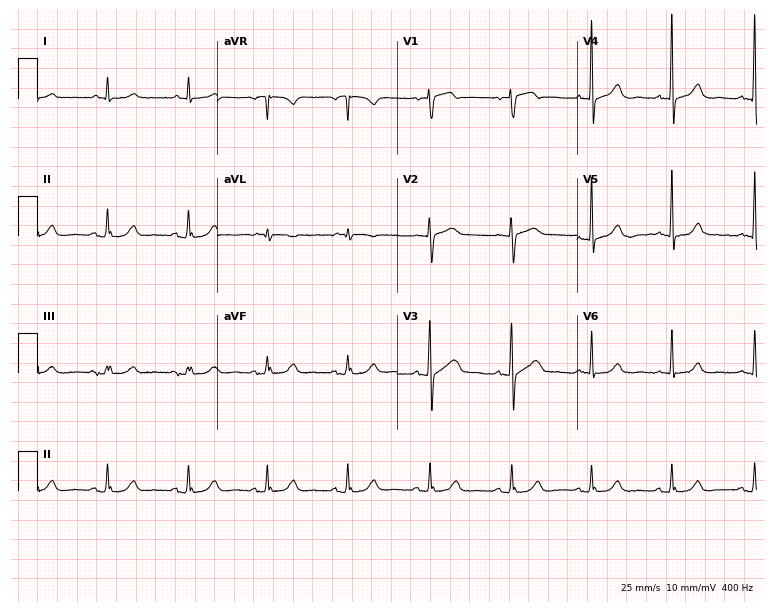
Electrocardiogram (7.3-second recording at 400 Hz), a woman, 72 years old. Overall reading on record: normal ECG.